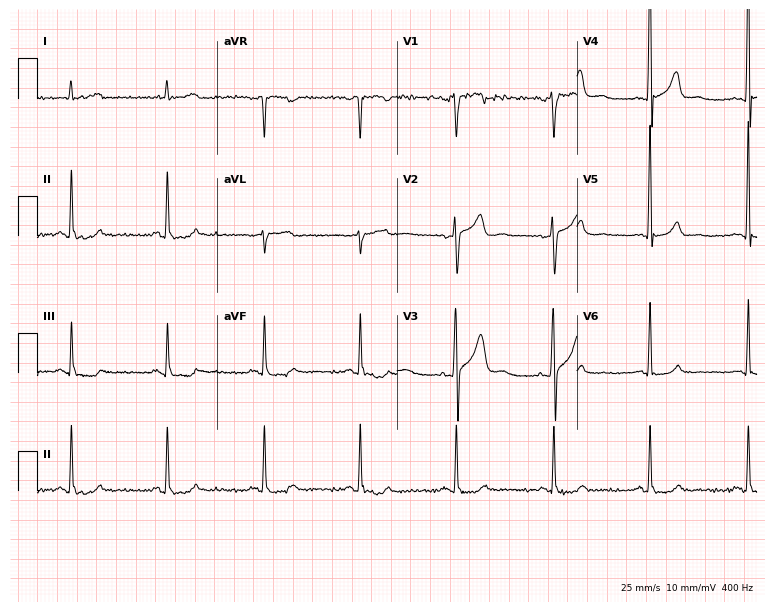
Electrocardiogram (7.3-second recording at 400 Hz), a male patient, 47 years old. Overall reading on record: normal ECG.